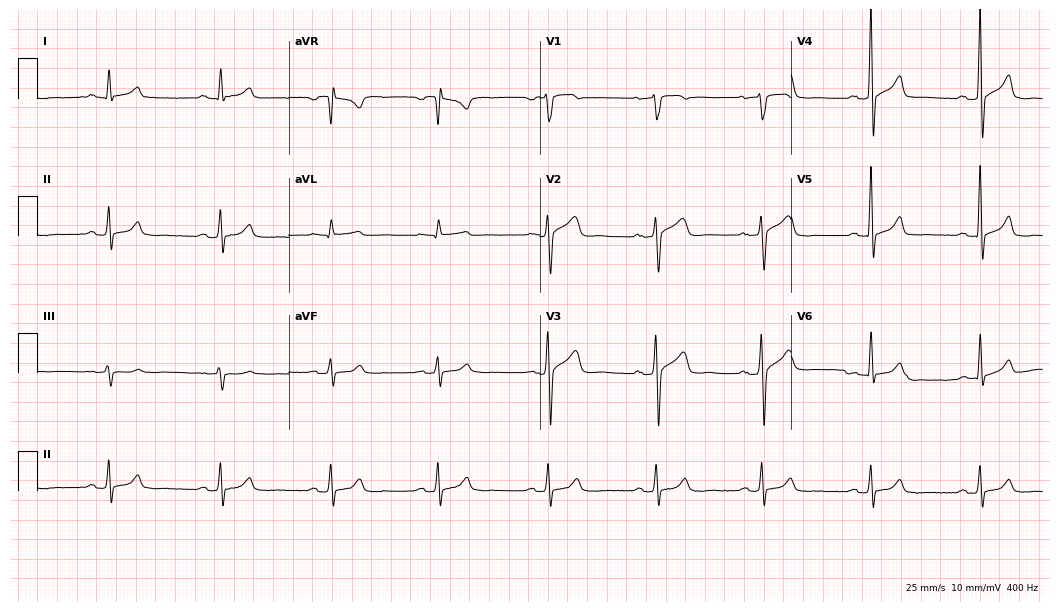
ECG (10.2-second recording at 400 Hz) — a 60-year-old male patient. Labelled as a normal ECG.